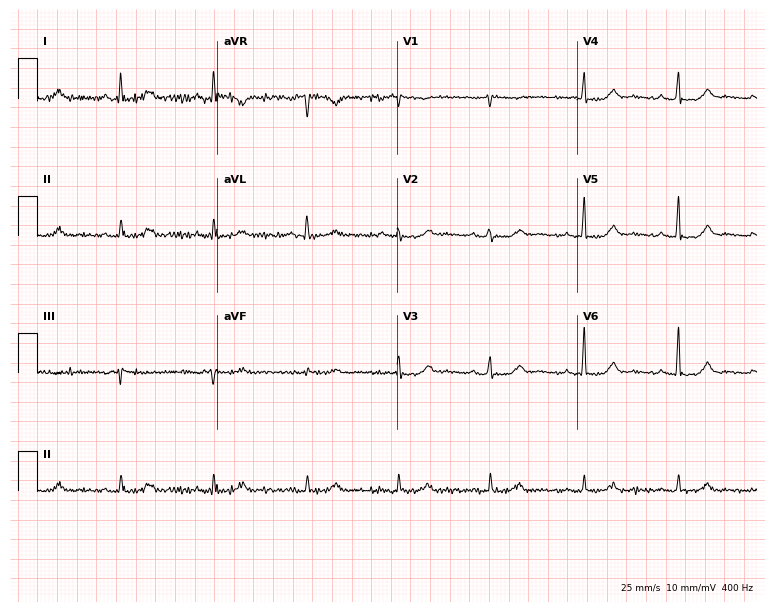
Resting 12-lead electrocardiogram (7.3-second recording at 400 Hz). Patient: a woman, 61 years old. Read as a normal ECG.